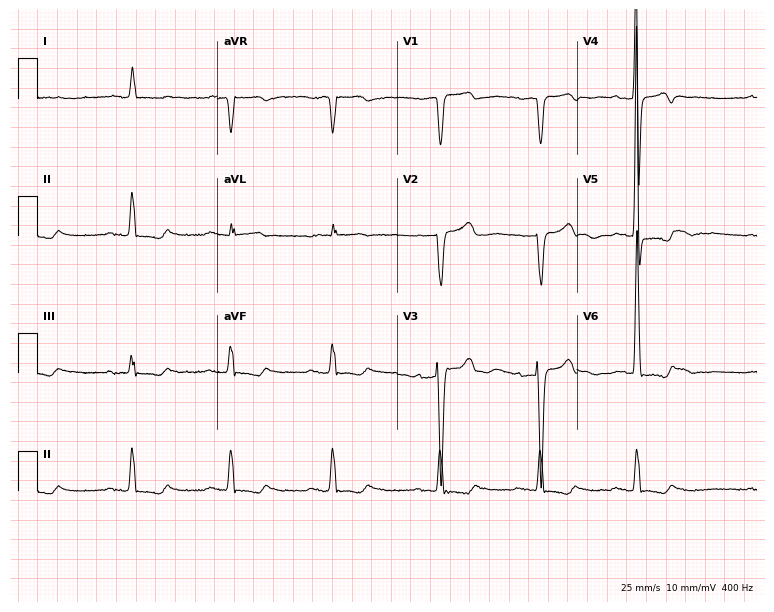
Standard 12-lead ECG recorded from a man, 69 years old. None of these six findings is recorded: first-degree AV block, right bundle branch block, left bundle branch block, sinus bradycardia, atrial fibrillation, sinus tachycardia.